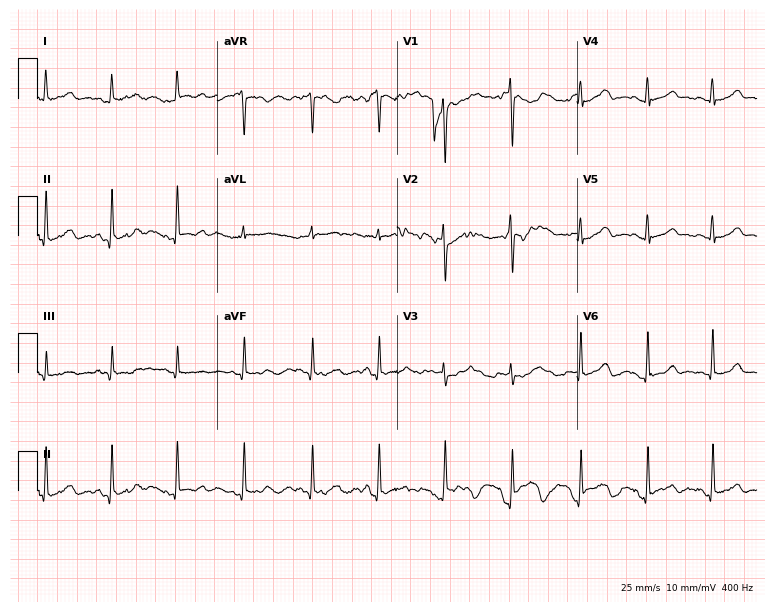
Resting 12-lead electrocardiogram (7.3-second recording at 400 Hz). Patient: a woman, 32 years old. Read as a normal ECG.